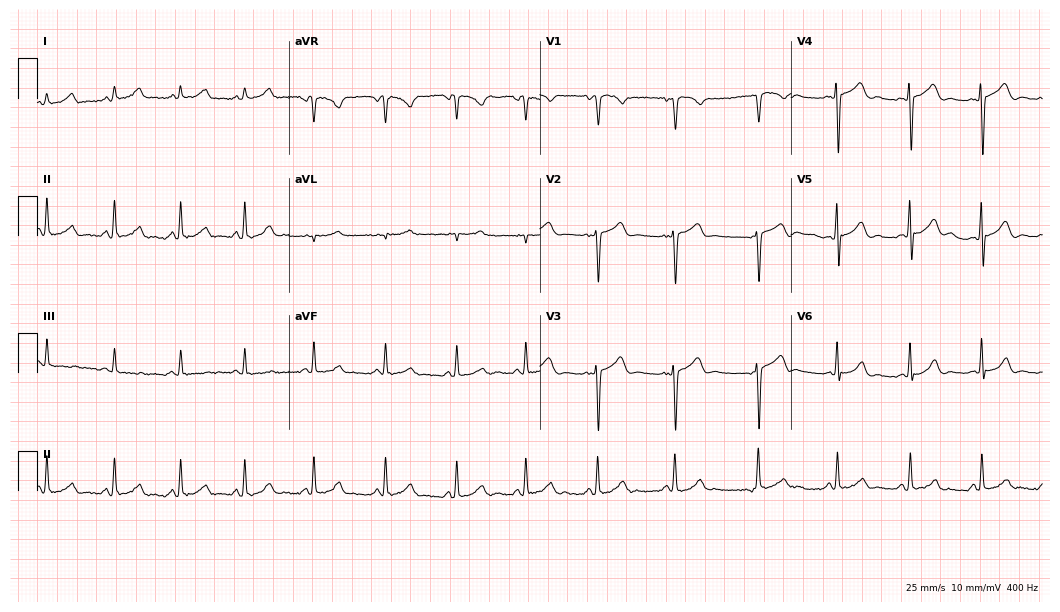
Standard 12-lead ECG recorded from a 46-year-old woman. Read as a normal ECG.